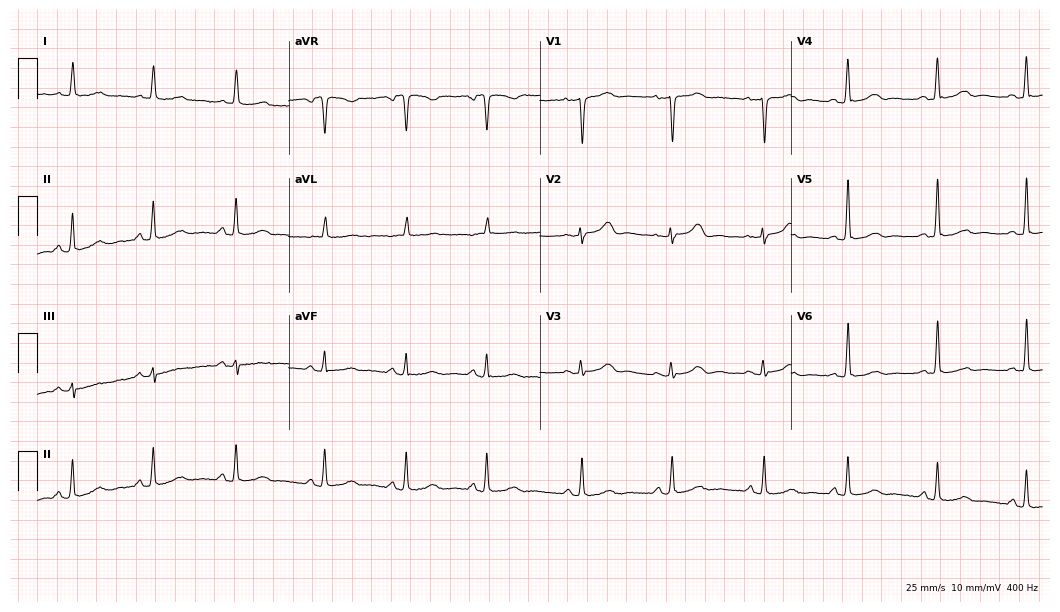
12-lead ECG from a 58-year-old woman. Labelled as a normal ECG.